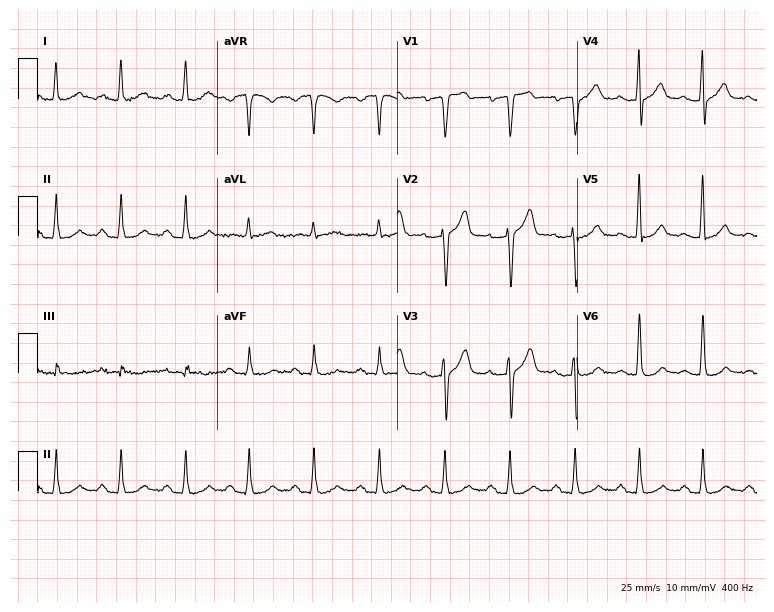
Resting 12-lead electrocardiogram (7.3-second recording at 400 Hz). Patient: a 55-year-old male. The tracing shows first-degree AV block.